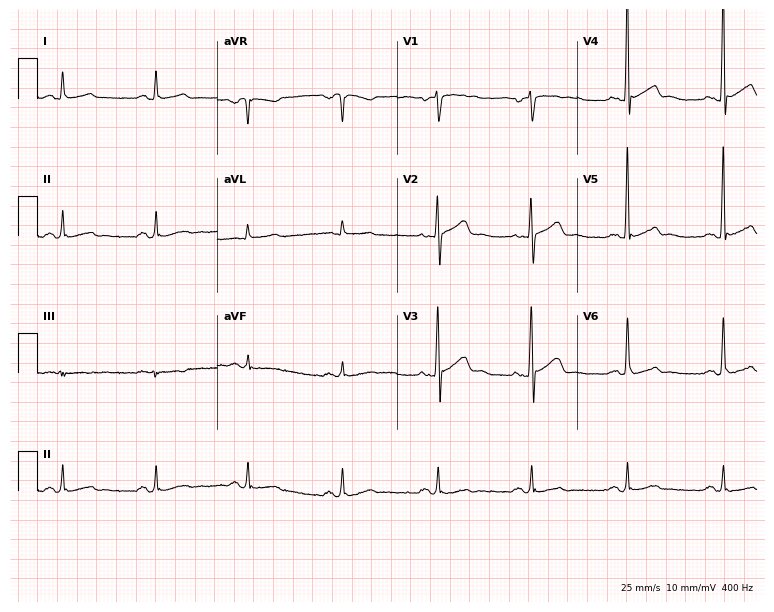
Electrocardiogram, a male patient, 41 years old. Overall reading on record: normal ECG.